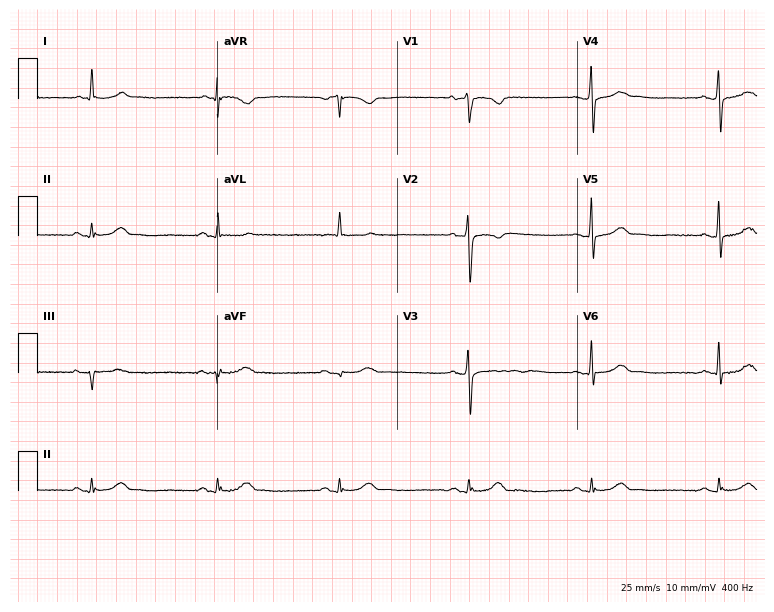
12-lead ECG from a male patient, 72 years old. Findings include sinus bradycardia (a sinus rate of 50 beats per minute or less).